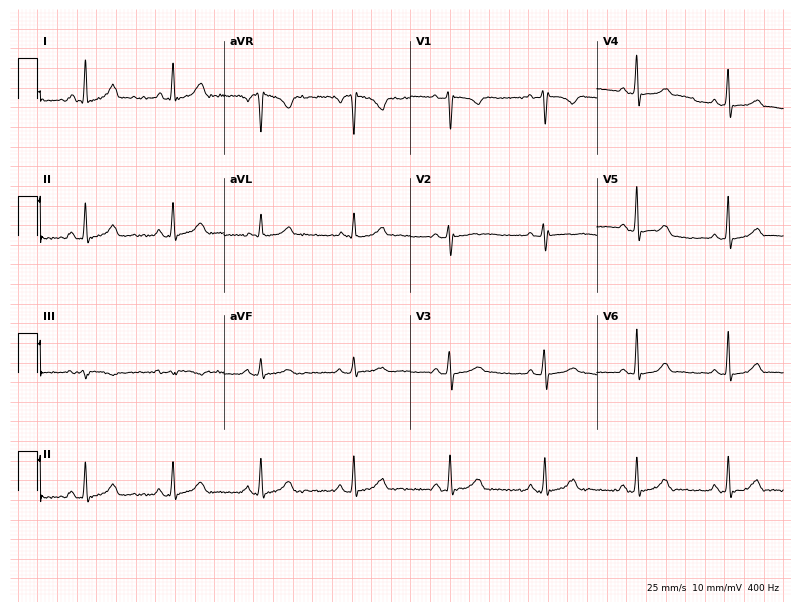
Electrocardiogram (7.6-second recording at 400 Hz), a 34-year-old woman. Of the six screened findings (first-degree AV block, right bundle branch block, left bundle branch block, sinus bradycardia, atrial fibrillation, sinus tachycardia), none is recorded.